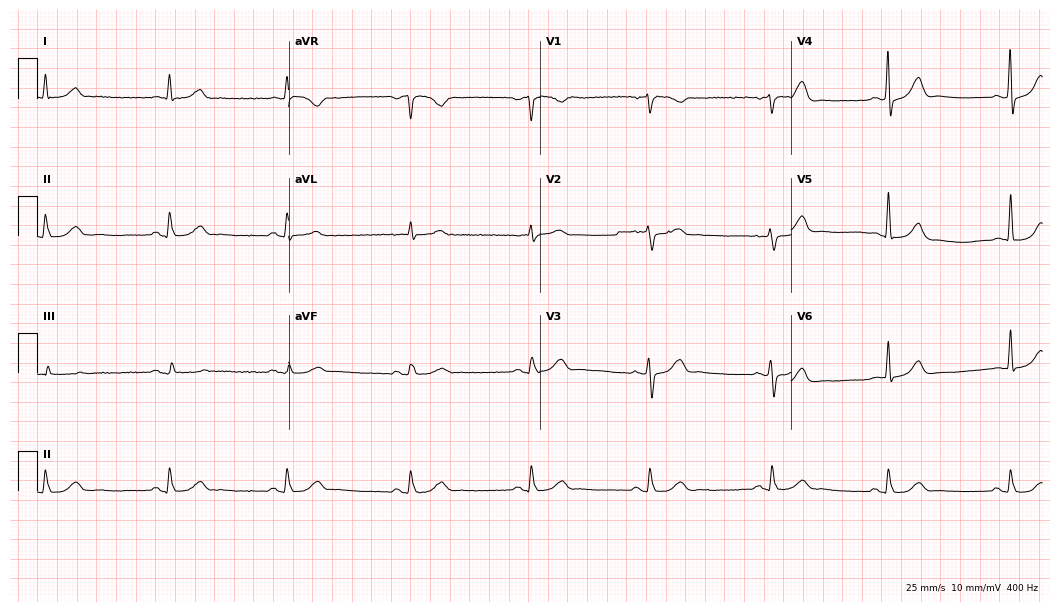
12-lead ECG from a 62-year-old male (10.2-second recording at 400 Hz). No first-degree AV block, right bundle branch block, left bundle branch block, sinus bradycardia, atrial fibrillation or sinus tachycardia recorded for this tracing. Findings outside these six are not listed.